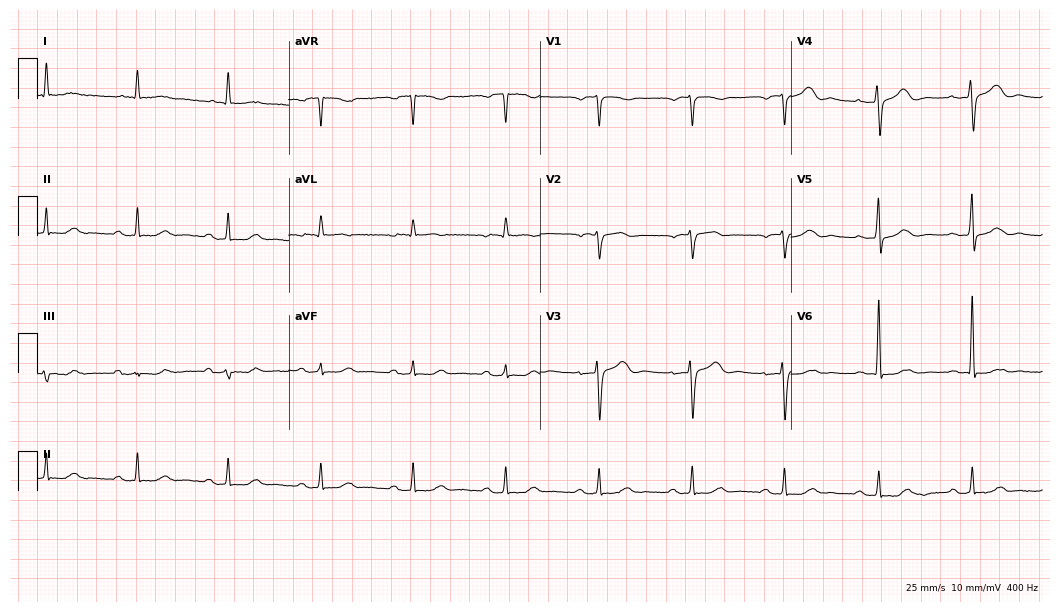
Standard 12-lead ECG recorded from a male patient, 84 years old. Read as a normal ECG.